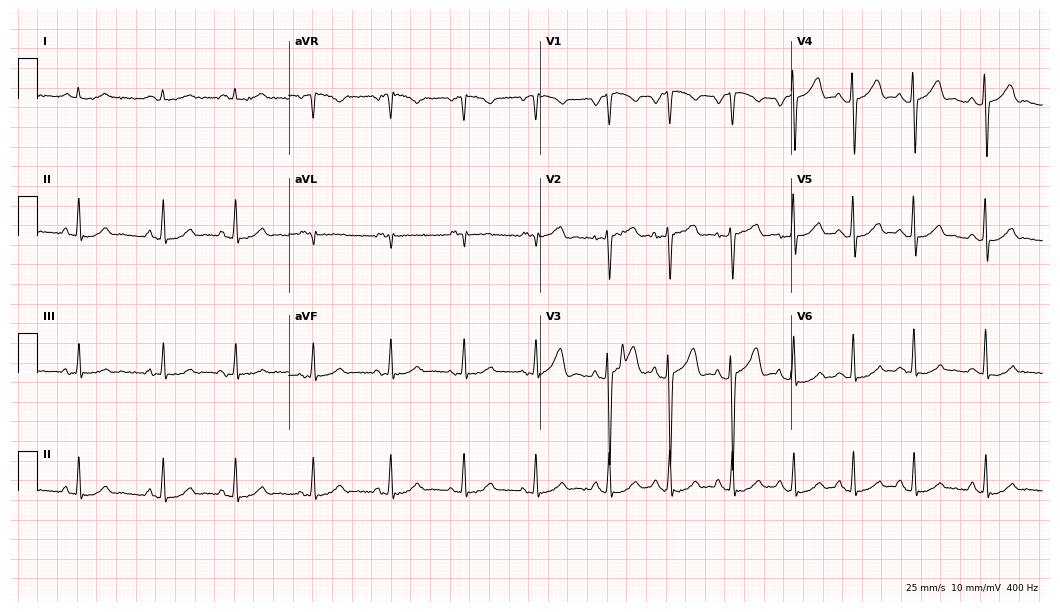
12-lead ECG from an 80-year-old male patient. Recorded interpretation: within normal limits.